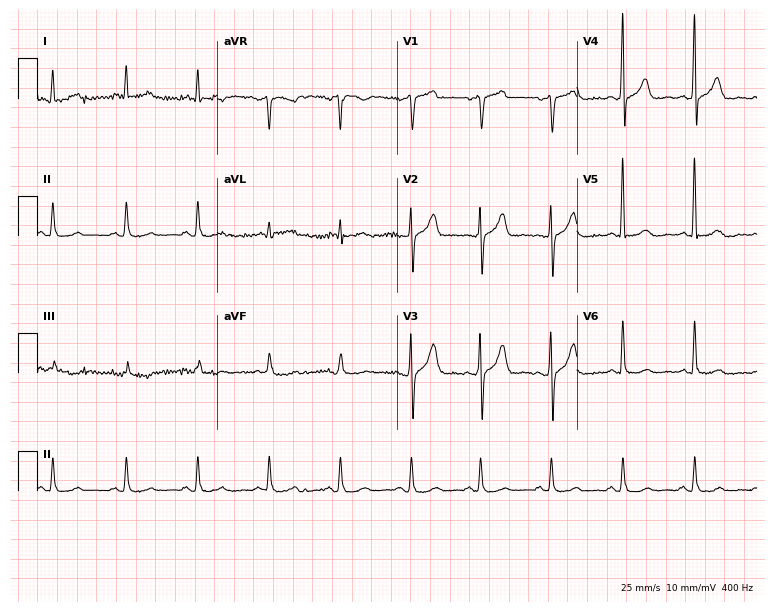
ECG (7.3-second recording at 400 Hz) — a 67-year-old male patient. Screened for six findings — first-degree AV block, right bundle branch block, left bundle branch block, sinus bradycardia, atrial fibrillation, sinus tachycardia — none is recorded. Findings outside these six are not listed.